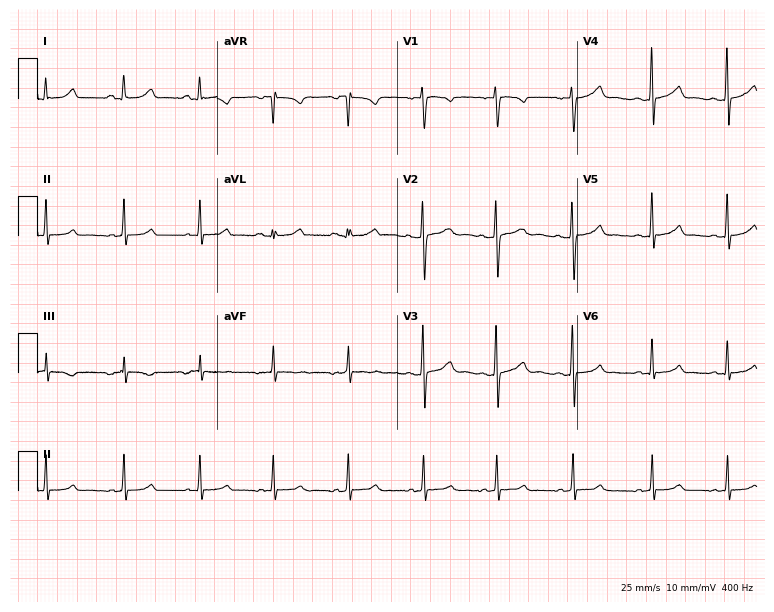
12-lead ECG (7.3-second recording at 400 Hz) from a woman, 19 years old. Labelled as a normal ECG.